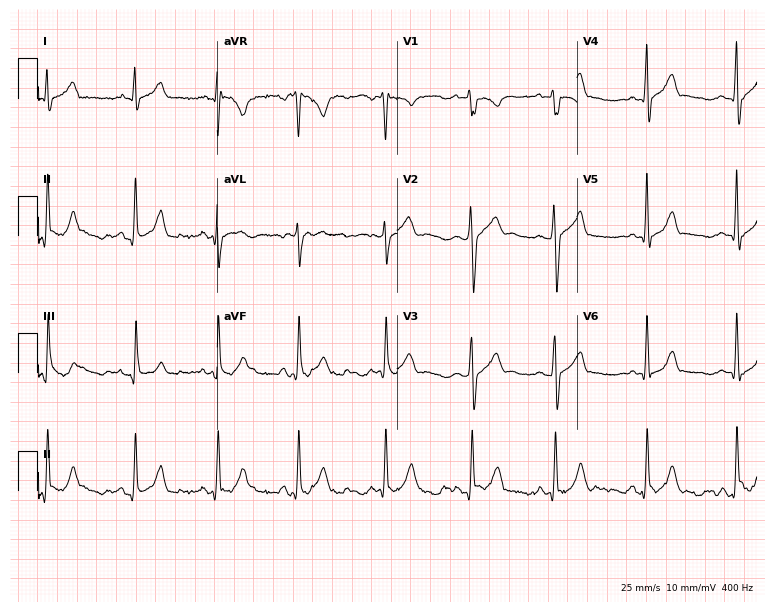
ECG (7.3-second recording at 400 Hz) — a 25-year-old male patient. Labelled as a normal ECG.